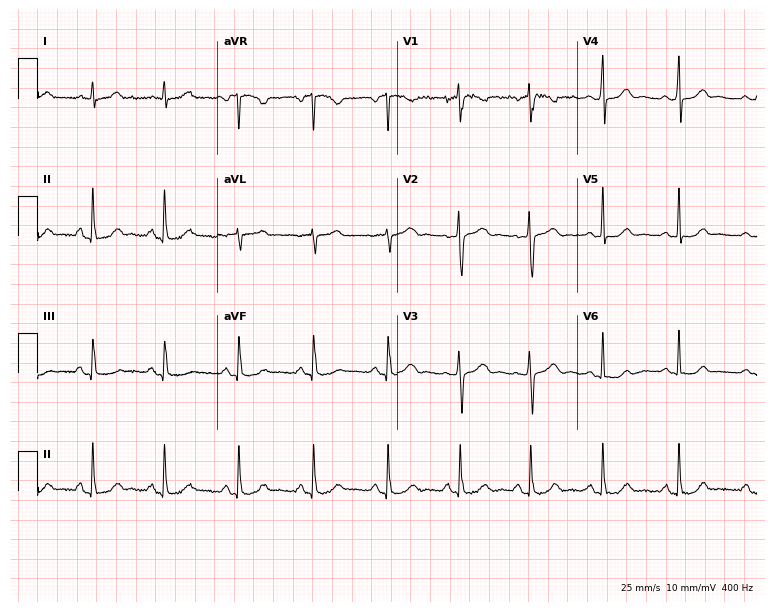
ECG (7.3-second recording at 400 Hz) — a female patient, 38 years old. Screened for six findings — first-degree AV block, right bundle branch block, left bundle branch block, sinus bradycardia, atrial fibrillation, sinus tachycardia — none is recorded. Only these six findings were labelled.